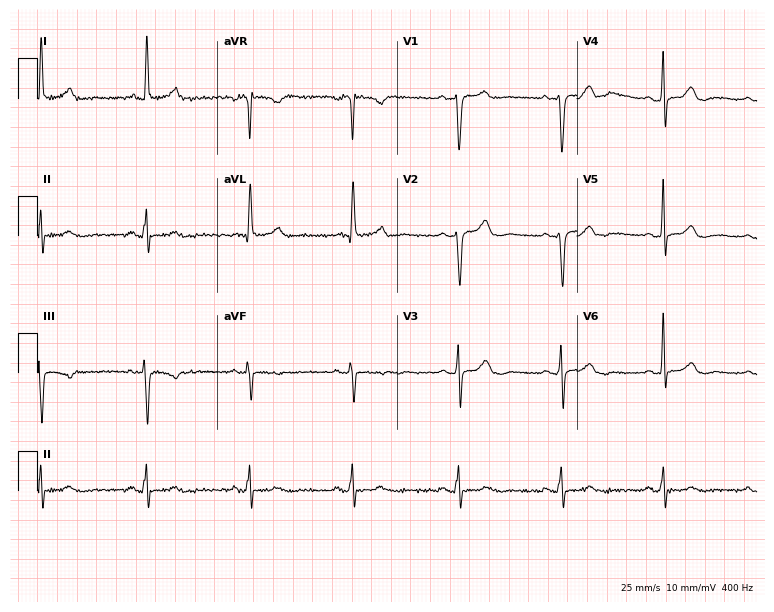
Standard 12-lead ECG recorded from a woman, 69 years old. None of these six findings is recorded: first-degree AV block, right bundle branch block (RBBB), left bundle branch block (LBBB), sinus bradycardia, atrial fibrillation (AF), sinus tachycardia. Other findings, if any, are not listed.